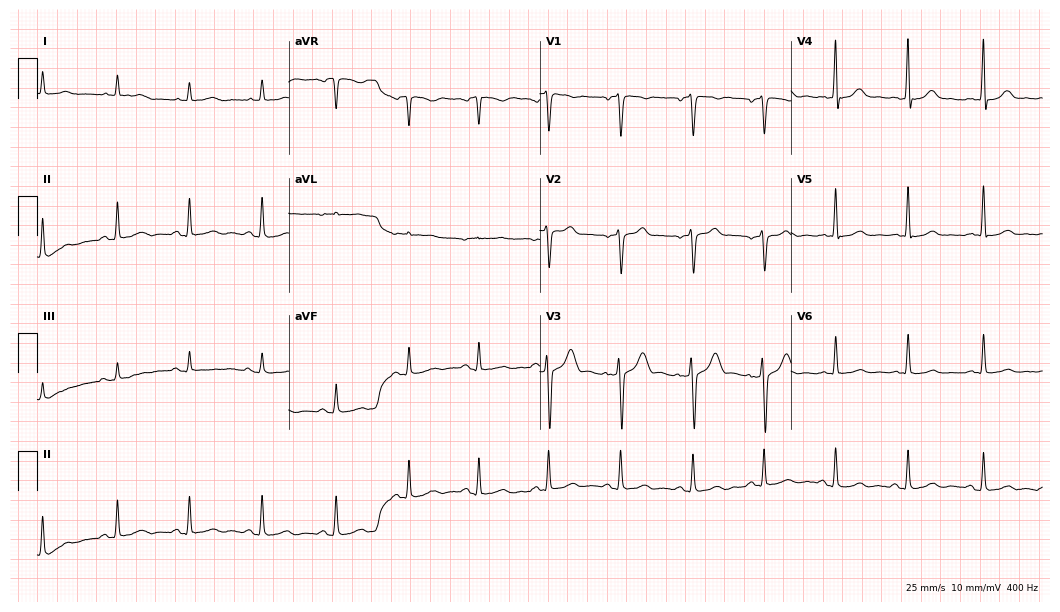
ECG (10.2-second recording at 400 Hz) — a man, 41 years old. Labelled as a normal ECG.